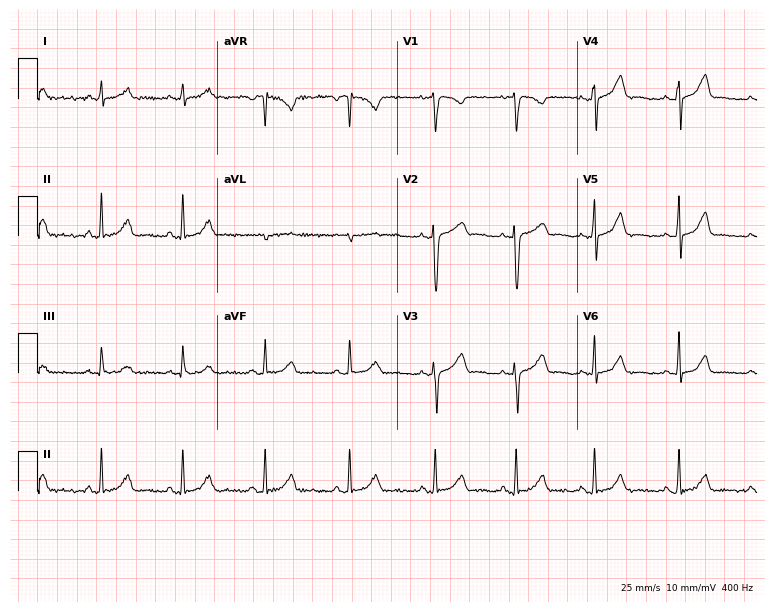
Resting 12-lead electrocardiogram (7.3-second recording at 400 Hz). Patient: an 18-year-old woman. None of these six findings is recorded: first-degree AV block, right bundle branch block, left bundle branch block, sinus bradycardia, atrial fibrillation, sinus tachycardia. Only these six findings were labelled.